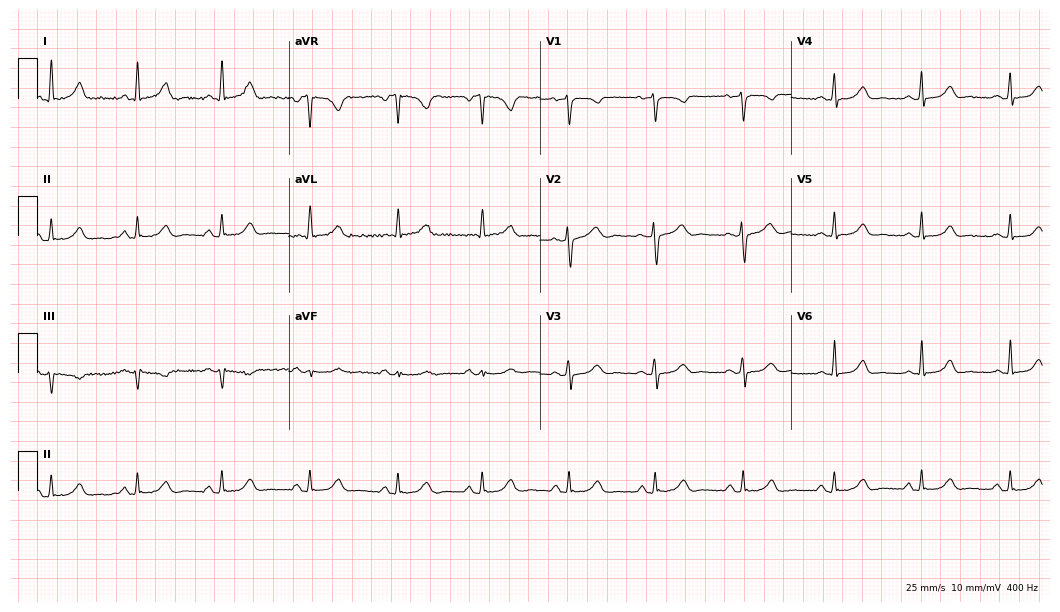
ECG (10.2-second recording at 400 Hz) — a 44-year-old female. Screened for six findings — first-degree AV block, right bundle branch block, left bundle branch block, sinus bradycardia, atrial fibrillation, sinus tachycardia — none is recorded. Only these six findings were labelled.